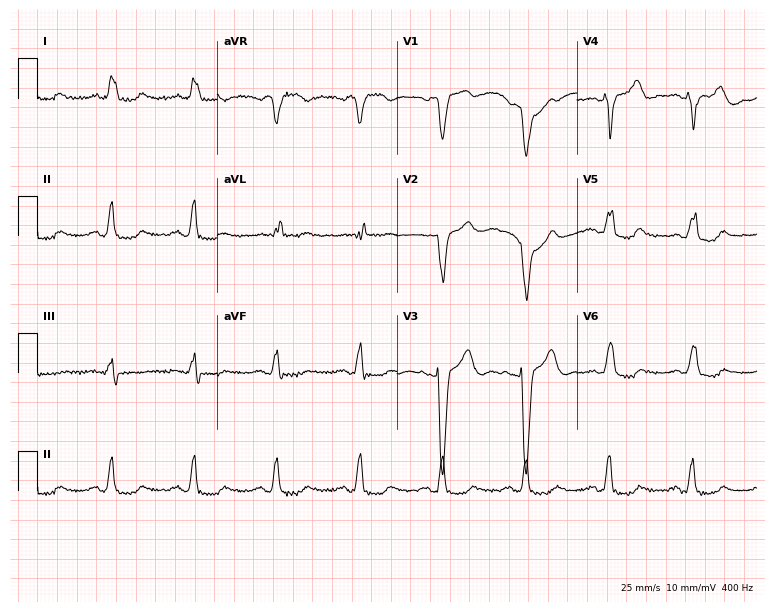
Electrocardiogram, a 74-year-old female patient. Interpretation includes left bundle branch block (LBBB).